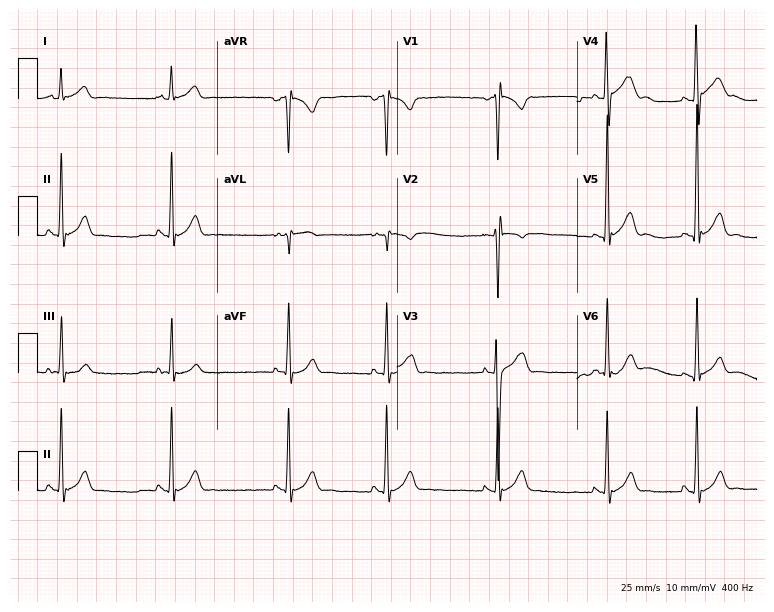
Standard 12-lead ECG recorded from a male, 18 years old. None of these six findings is recorded: first-degree AV block, right bundle branch block (RBBB), left bundle branch block (LBBB), sinus bradycardia, atrial fibrillation (AF), sinus tachycardia.